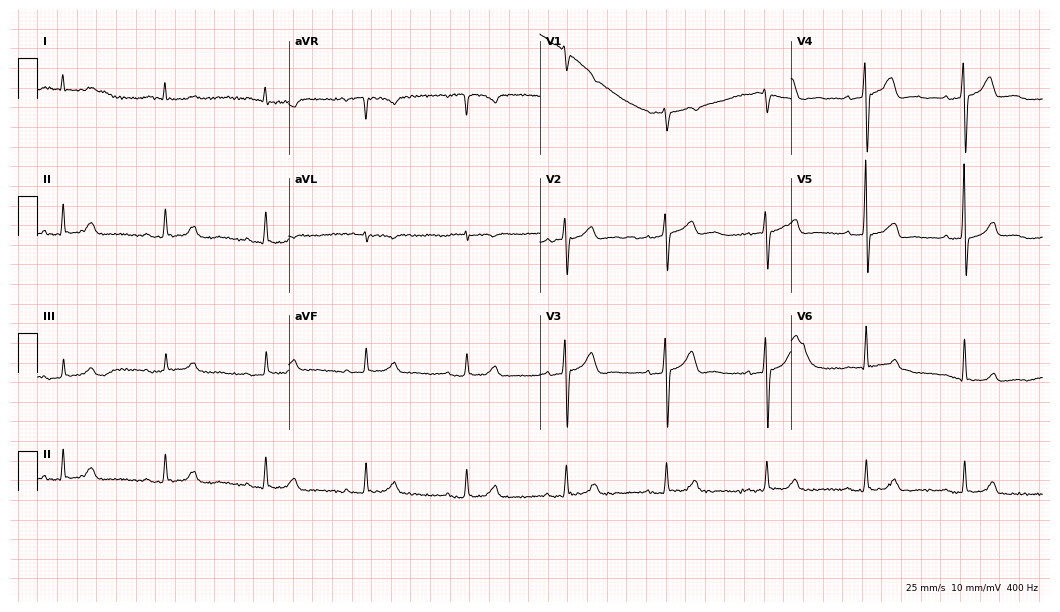
Electrocardiogram (10.2-second recording at 400 Hz), a 76-year-old woman. Of the six screened findings (first-degree AV block, right bundle branch block, left bundle branch block, sinus bradycardia, atrial fibrillation, sinus tachycardia), none is recorded.